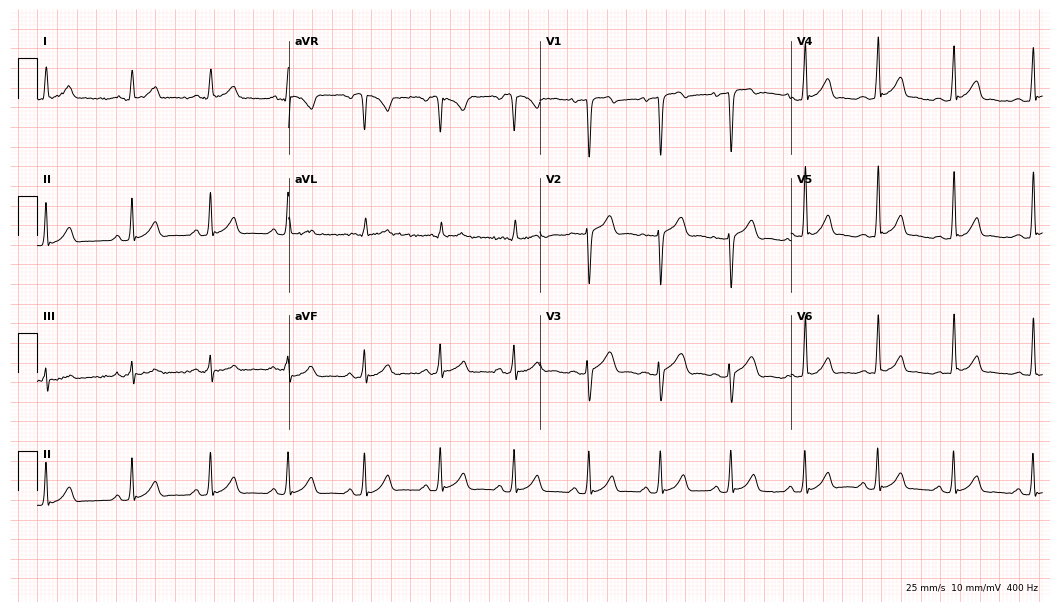
12-lead ECG from a 19-year-old male patient. Recorded interpretation: within normal limits.